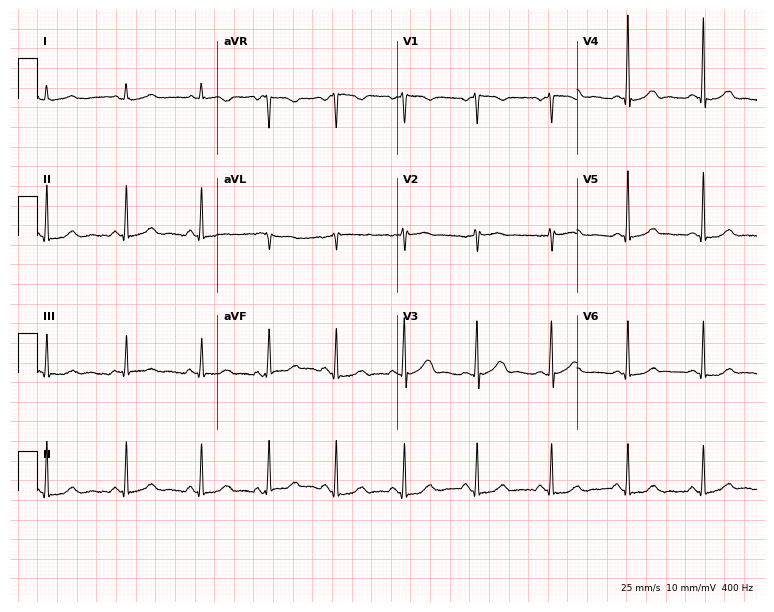
Standard 12-lead ECG recorded from a 56-year-old woman. None of these six findings is recorded: first-degree AV block, right bundle branch block, left bundle branch block, sinus bradycardia, atrial fibrillation, sinus tachycardia.